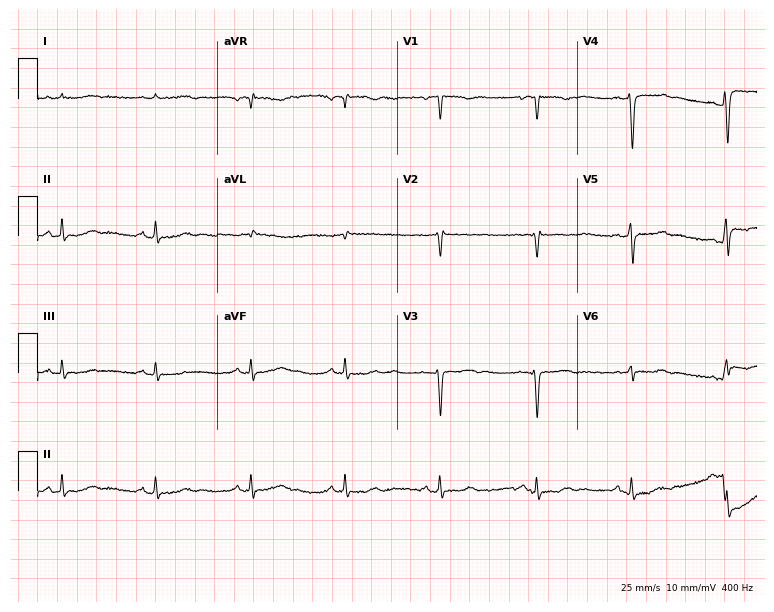
ECG — a 51-year-old woman. Screened for six findings — first-degree AV block, right bundle branch block, left bundle branch block, sinus bradycardia, atrial fibrillation, sinus tachycardia — none is recorded.